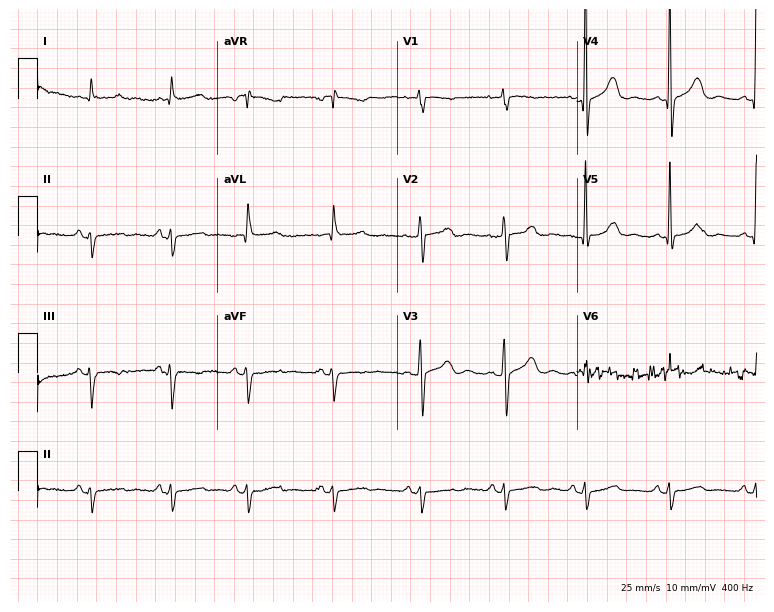
Standard 12-lead ECG recorded from a 74-year-old female patient. None of these six findings is recorded: first-degree AV block, right bundle branch block (RBBB), left bundle branch block (LBBB), sinus bradycardia, atrial fibrillation (AF), sinus tachycardia. Only these six findings were labelled.